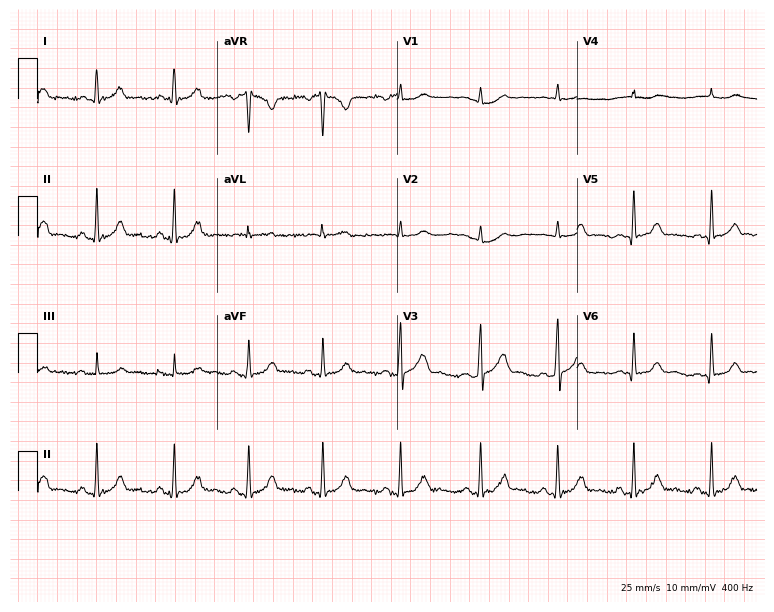
12-lead ECG from a 24-year-old female (7.3-second recording at 400 Hz). Recorded interpretation: within normal limits.